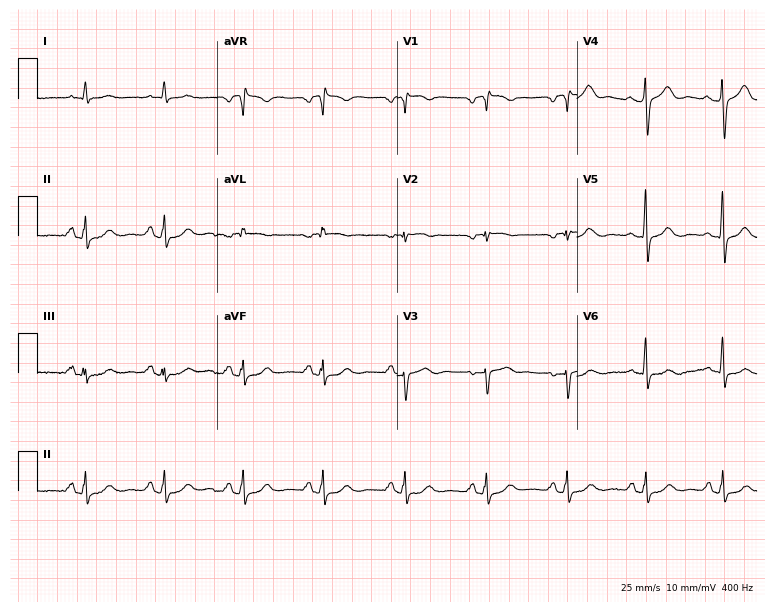
12-lead ECG from a male patient, 54 years old. Screened for six findings — first-degree AV block, right bundle branch block, left bundle branch block, sinus bradycardia, atrial fibrillation, sinus tachycardia — none is recorded. Other findings, if any, are not listed.